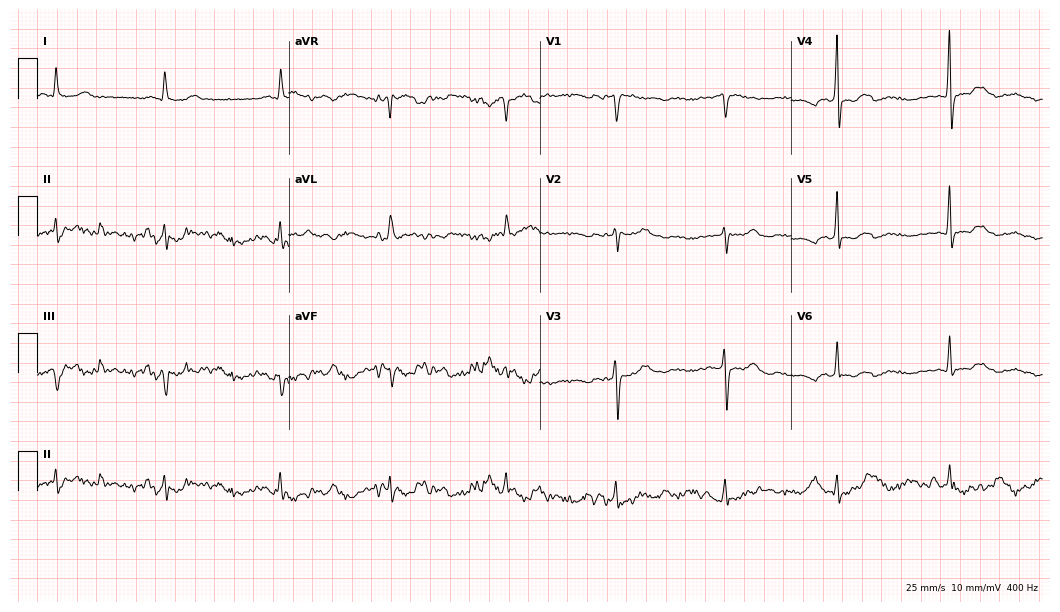
Standard 12-lead ECG recorded from a female patient, 64 years old. None of these six findings is recorded: first-degree AV block, right bundle branch block, left bundle branch block, sinus bradycardia, atrial fibrillation, sinus tachycardia. Findings outside these six are not listed.